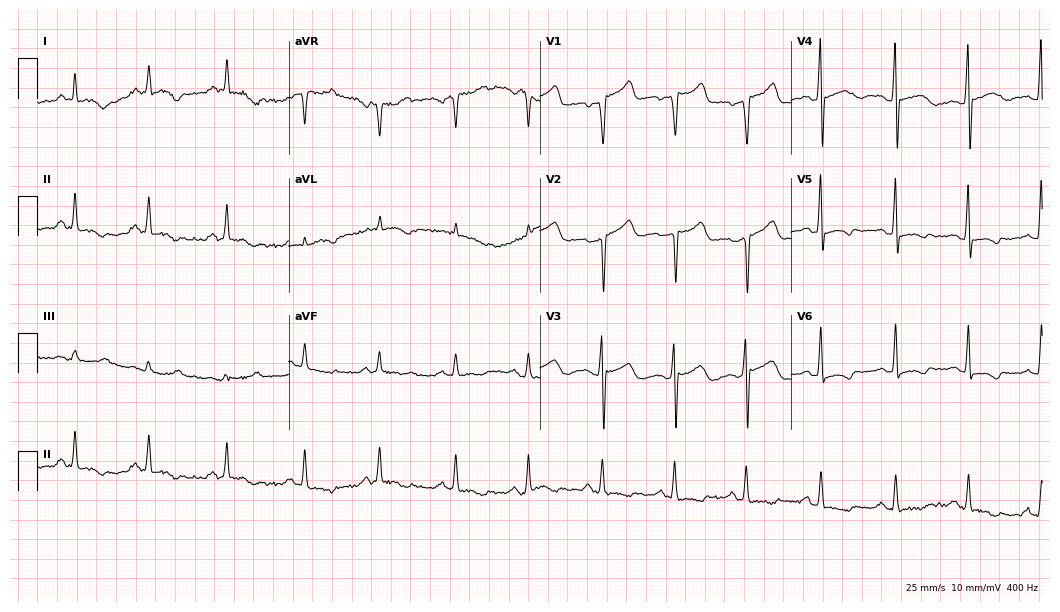
ECG — a female, 47 years old. Screened for six findings — first-degree AV block, right bundle branch block, left bundle branch block, sinus bradycardia, atrial fibrillation, sinus tachycardia — none is recorded.